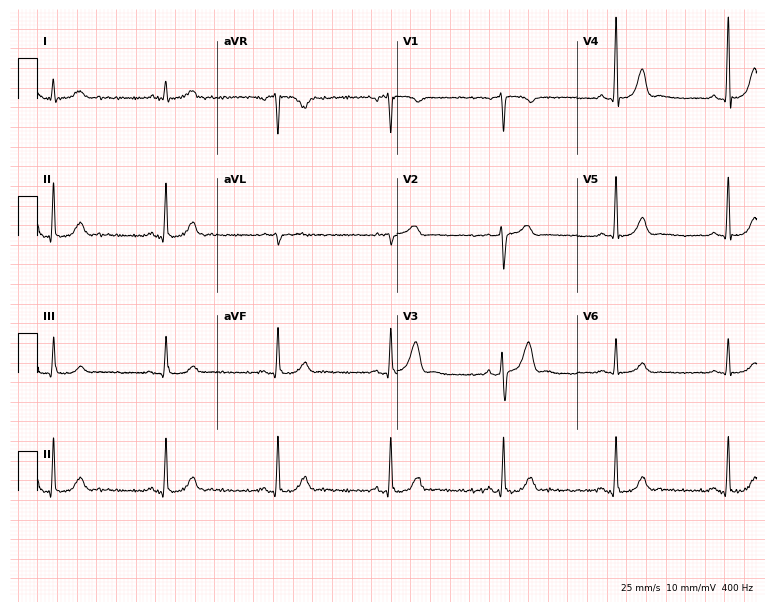
Resting 12-lead electrocardiogram (7.3-second recording at 400 Hz). Patient: a man, 60 years old. Read as a normal ECG.